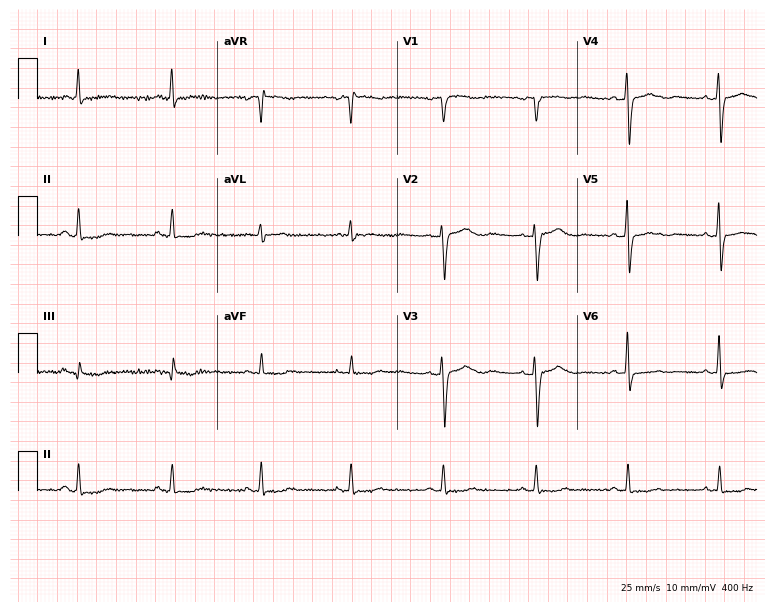
Electrocardiogram, a 77-year-old female. Of the six screened findings (first-degree AV block, right bundle branch block, left bundle branch block, sinus bradycardia, atrial fibrillation, sinus tachycardia), none is recorded.